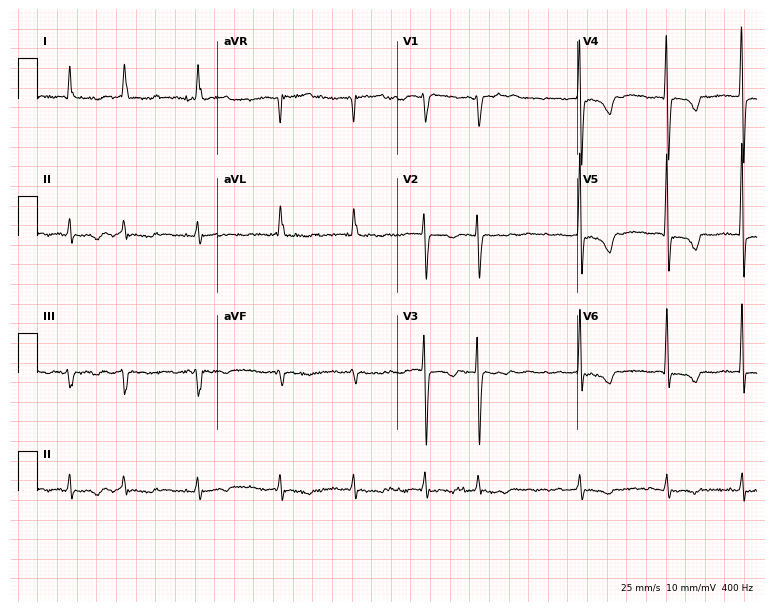
ECG (7.3-second recording at 400 Hz) — a 61-year-old woman. Findings include atrial fibrillation (AF).